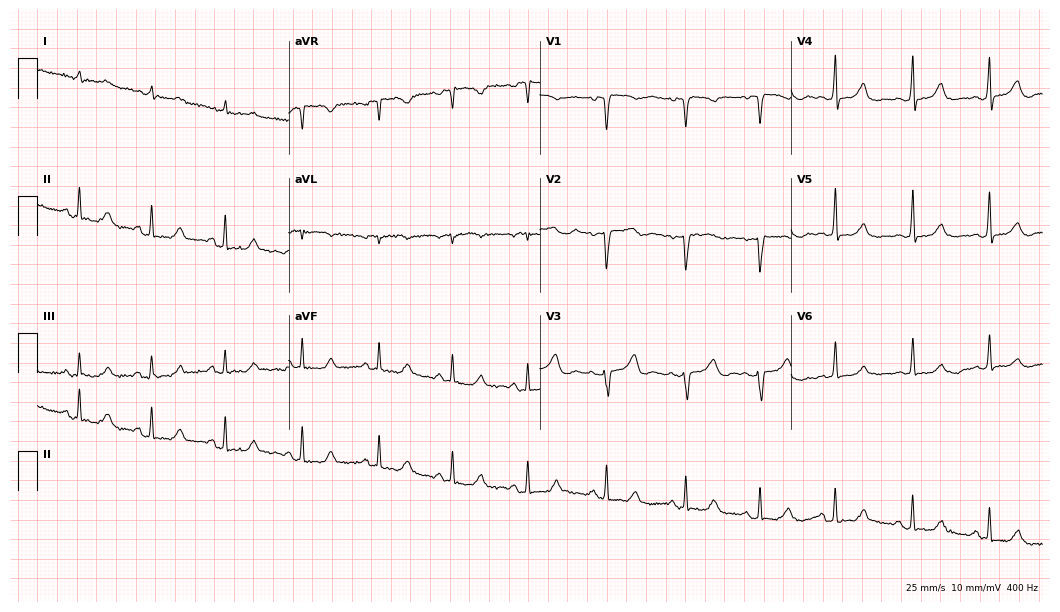
12-lead ECG from a female patient, 85 years old. No first-degree AV block, right bundle branch block, left bundle branch block, sinus bradycardia, atrial fibrillation or sinus tachycardia recorded for this tracing. Other findings, if any, are not listed.